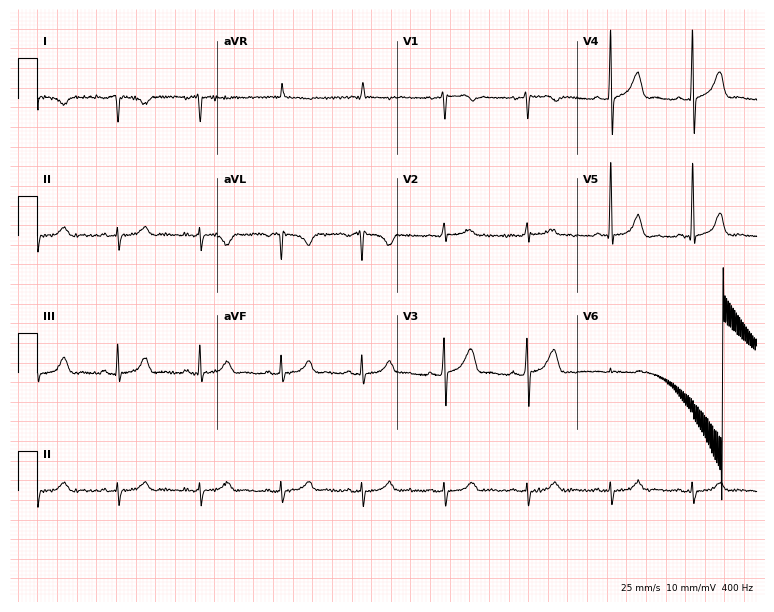
Resting 12-lead electrocardiogram (7.3-second recording at 400 Hz). Patient: a female, 57 years old. None of these six findings is recorded: first-degree AV block, right bundle branch block, left bundle branch block, sinus bradycardia, atrial fibrillation, sinus tachycardia. Findings outside these six are not listed.